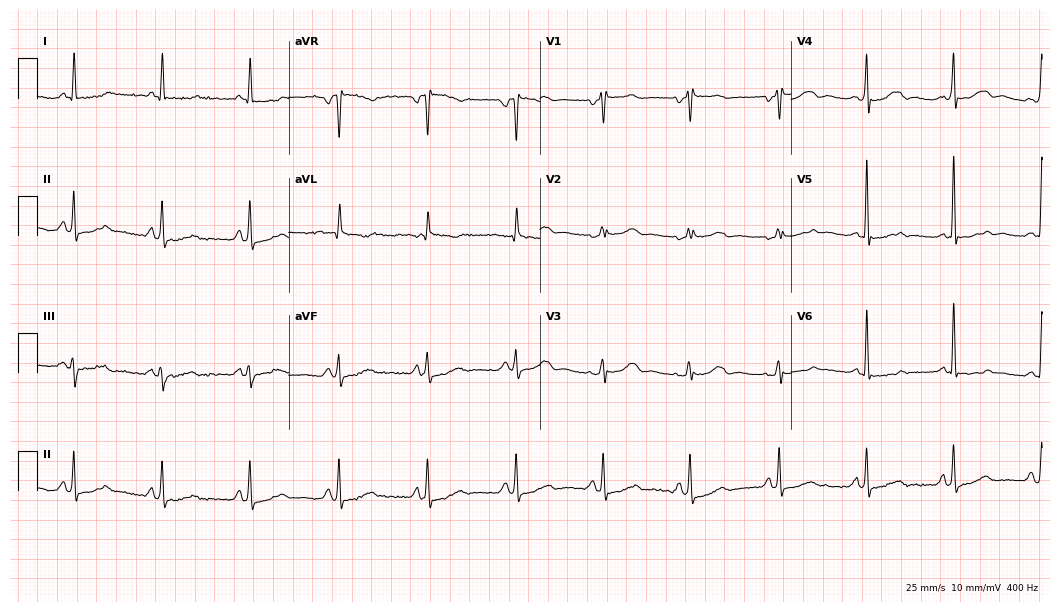
Electrocardiogram (10.2-second recording at 400 Hz), a woman, 78 years old. Of the six screened findings (first-degree AV block, right bundle branch block, left bundle branch block, sinus bradycardia, atrial fibrillation, sinus tachycardia), none is recorded. Only these six findings were labelled.